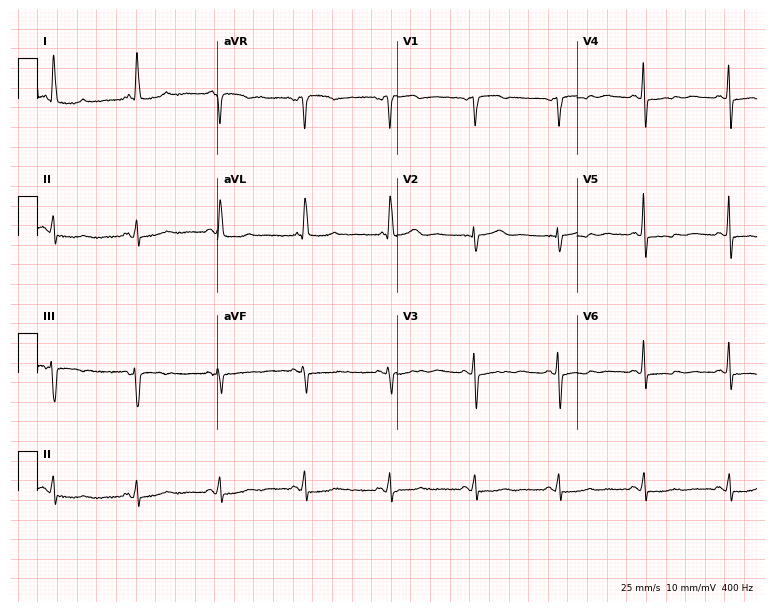
Electrocardiogram (7.3-second recording at 400 Hz), a 75-year-old female patient. Of the six screened findings (first-degree AV block, right bundle branch block (RBBB), left bundle branch block (LBBB), sinus bradycardia, atrial fibrillation (AF), sinus tachycardia), none is recorded. Findings outside these six are not listed.